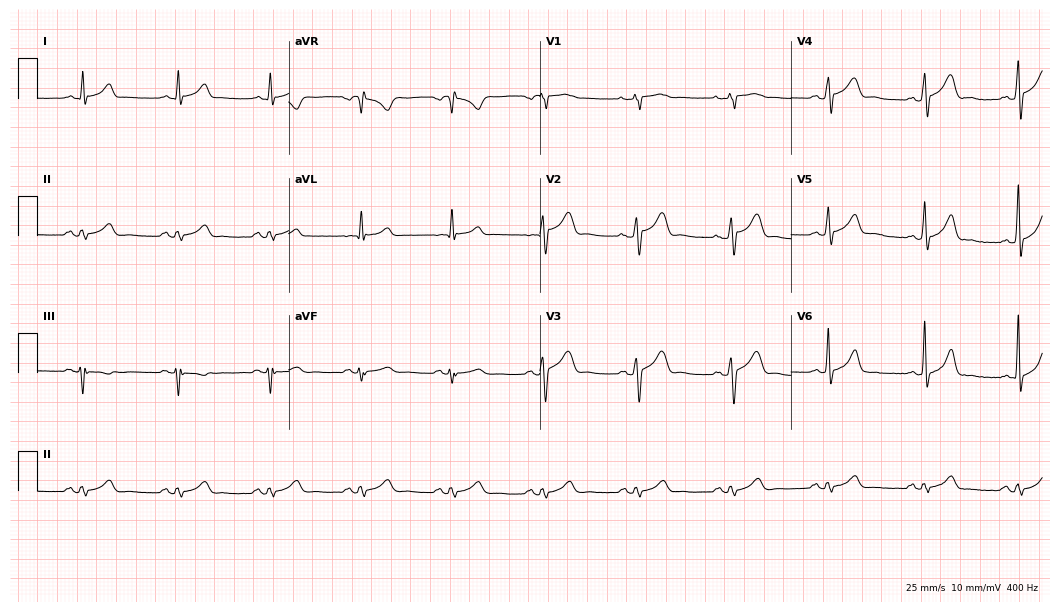
Resting 12-lead electrocardiogram. Patient: a male, 48 years old. Read as a normal ECG.